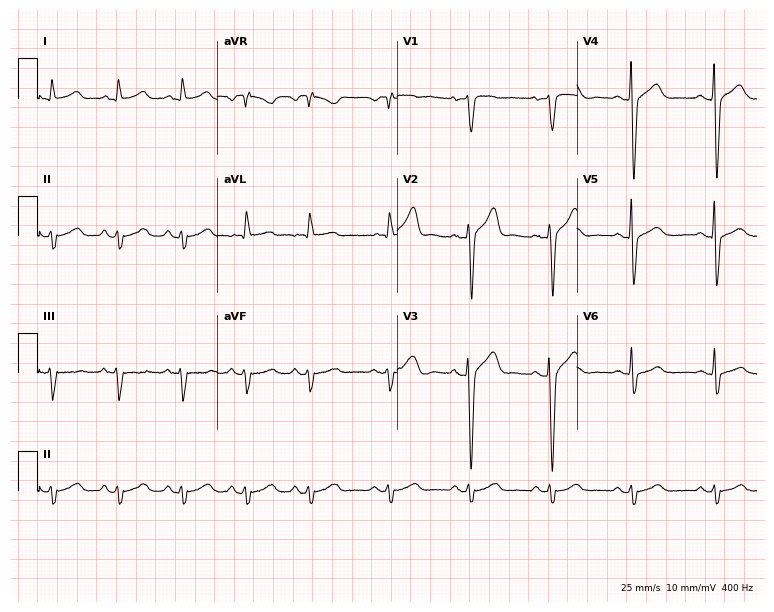
Electrocardiogram, a 66-year-old male patient. Of the six screened findings (first-degree AV block, right bundle branch block, left bundle branch block, sinus bradycardia, atrial fibrillation, sinus tachycardia), none is recorded.